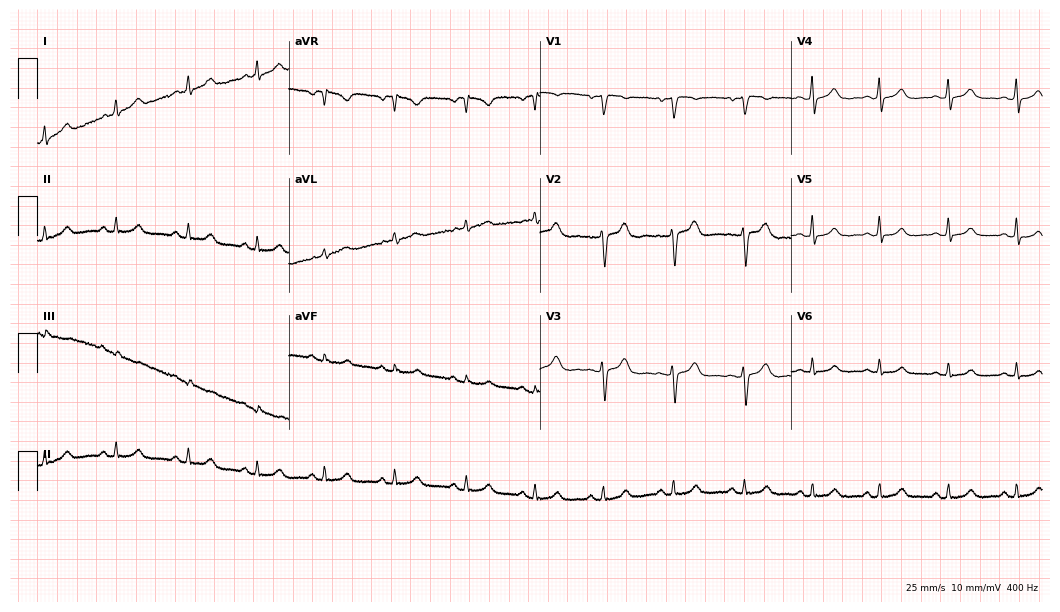
12-lead ECG from a female, 46 years old. Recorded interpretation: within normal limits.